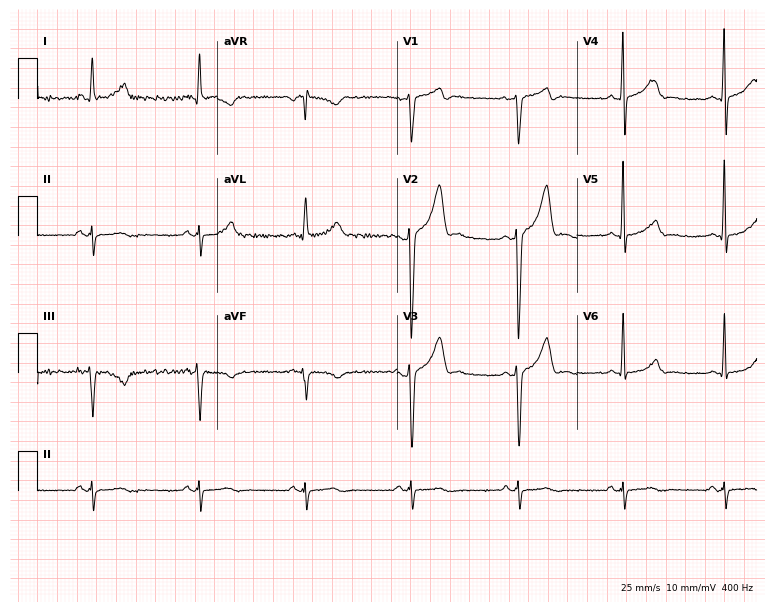
ECG — a 35-year-old man. Labelled as a normal ECG.